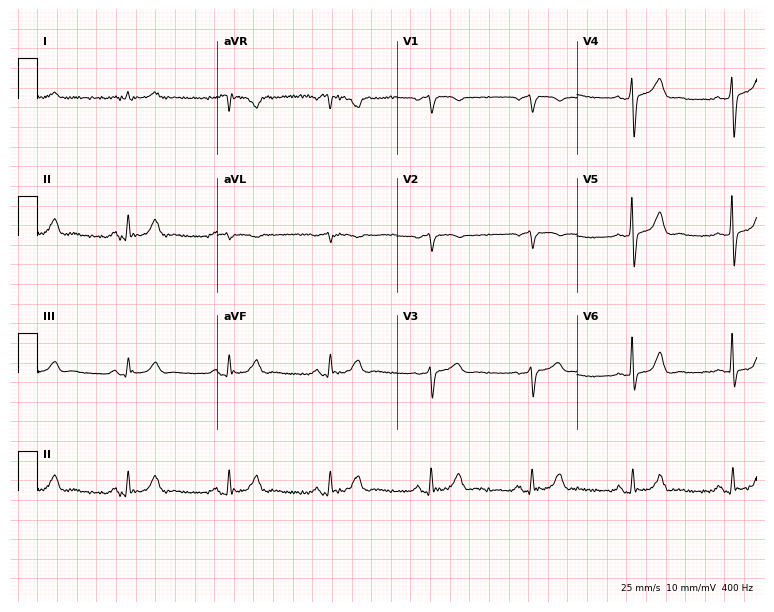
Resting 12-lead electrocardiogram. Patient: a 78-year-old male. None of these six findings is recorded: first-degree AV block, right bundle branch block, left bundle branch block, sinus bradycardia, atrial fibrillation, sinus tachycardia. Other findings, if any, are not listed.